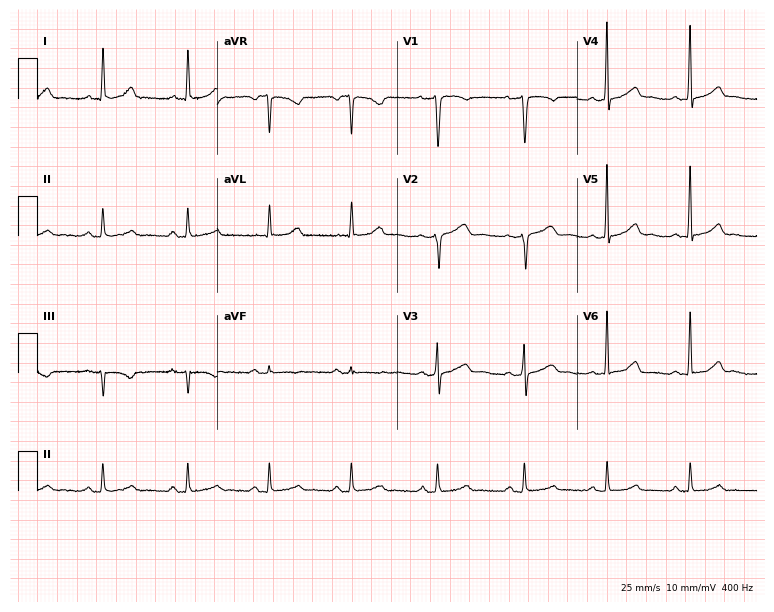
Electrocardiogram (7.3-second recording at 400 Hz), a woman, 44 years old. Of the six screened findings (first-degree AV block, right bundle branch block, left bundle branch block, sinus bradycardia, atrial fibrillation, sinus tachycardia), none is recorded. Other findings, if any, are not listed.